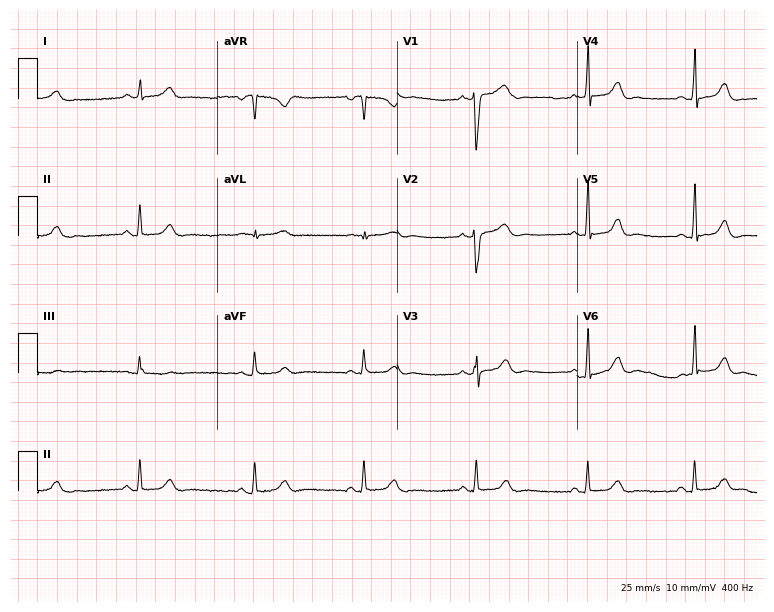
12-lead ECG from a female patient, 32 years old. Labelled as a normal ECG.